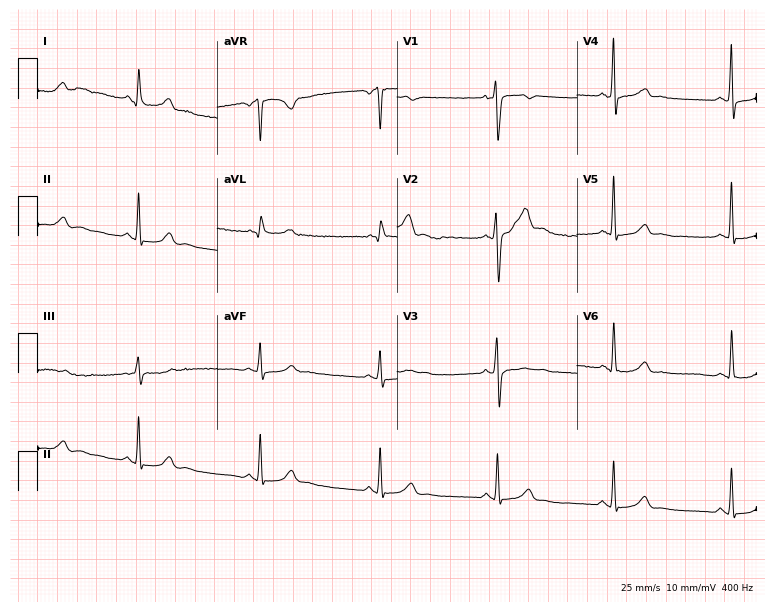
12-lead ECG from a male, 26 years old. Screened for six findings — first-degree AV block, right bundle branch block (RBBB), left bundle branch block (LBBB), sinus bradycardia, atrial fibrillation (AF), sinus tachycardia — none is recorded.